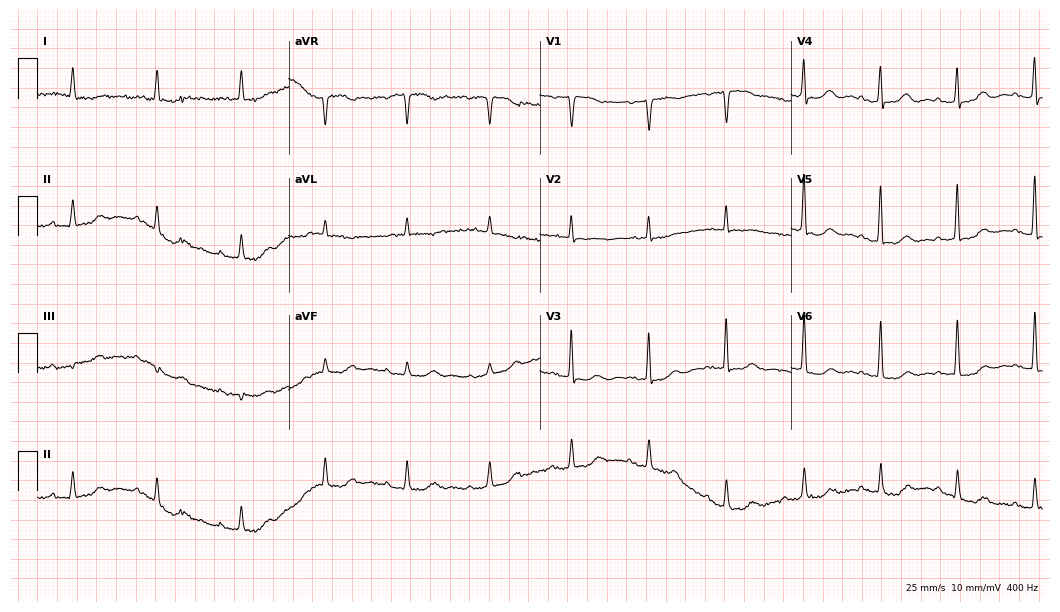
12-lead ECG (10.2-second recording at 400 Hz) from a female patient, 84 years old. Screened for six findings — first-degree AV block, right bundle branch block (RBBB), left bundle branch block (LBBB), sinus bradycardia, atrial fibrillation (AF), sinus tachycardia — none is recorded. Only these six findings were labelled.